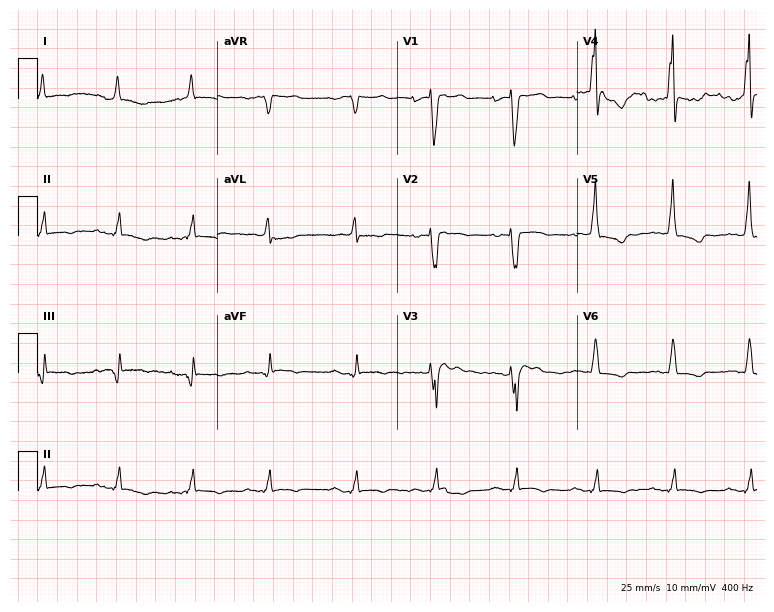
Electrocardiogram, a 78-year-old male. Of the six screened findings (first-degree AV block, right bundle branch block, left bundle branch block, sinus bradycardia, atrial fibrillation, sinus tachycardia), none is recorded.